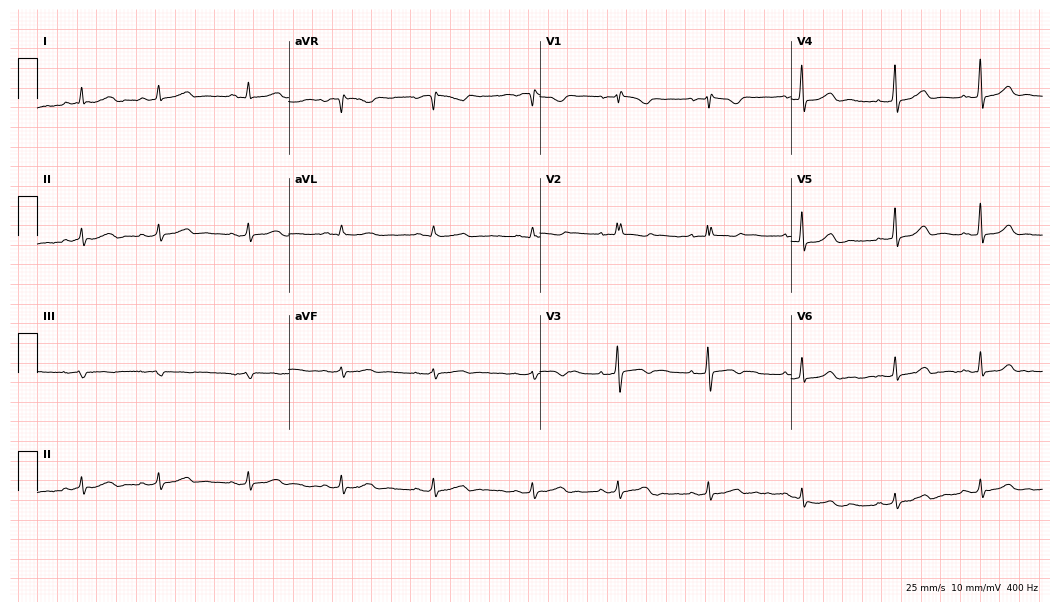
12-lead ECG from a 21-year-old female. Screened for six findings — first-degree AV block, right bundle branch block, left bundle branch block, sinus bradycardia, atrial fibrillation, sinus tachycardia — none is recorded.